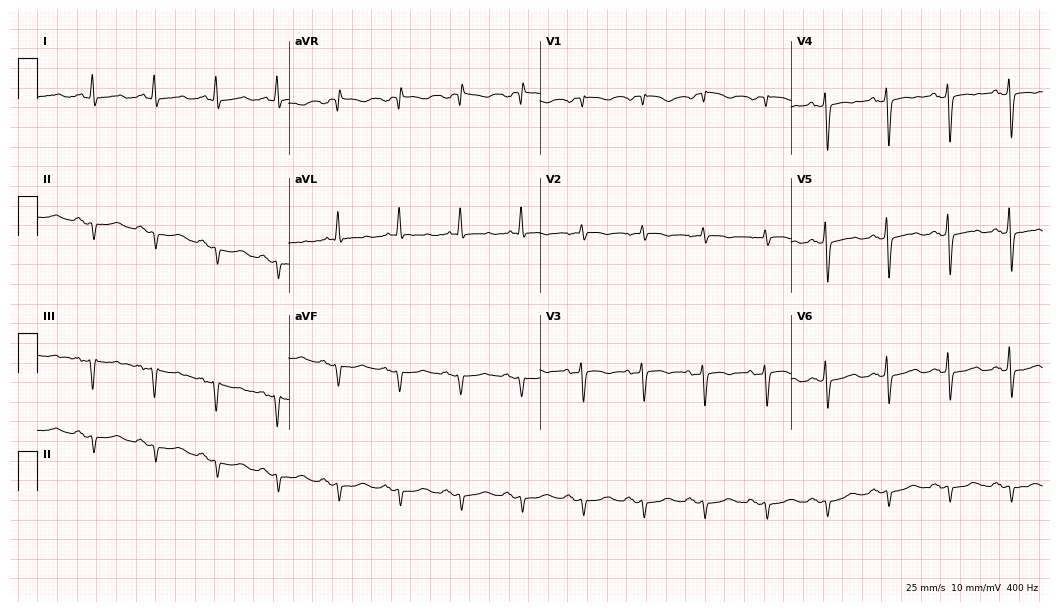
Electrocardiogram, a female, 79 years old. Of the six screened findings (first-degree AV block, right bundle branch block, left bundle branch block, sinus bradycardia, atrial fibrillation, sinus tachycardia), none is recorded.